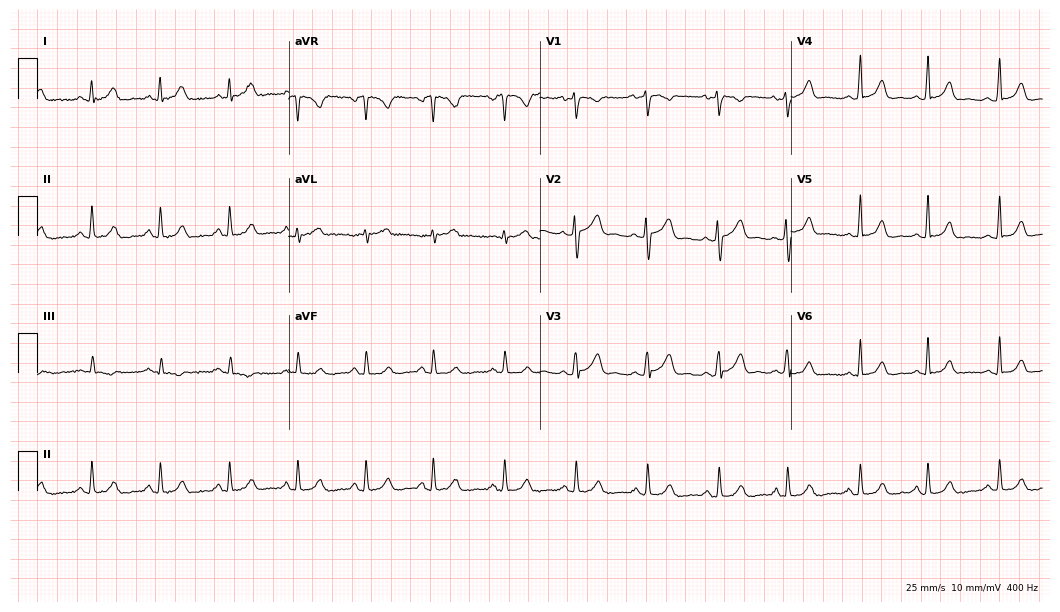
12-lead ECG from a female patient, 32 years old (10.2-second recording at 400 Hz). Recorded interpretation: within normal limits.